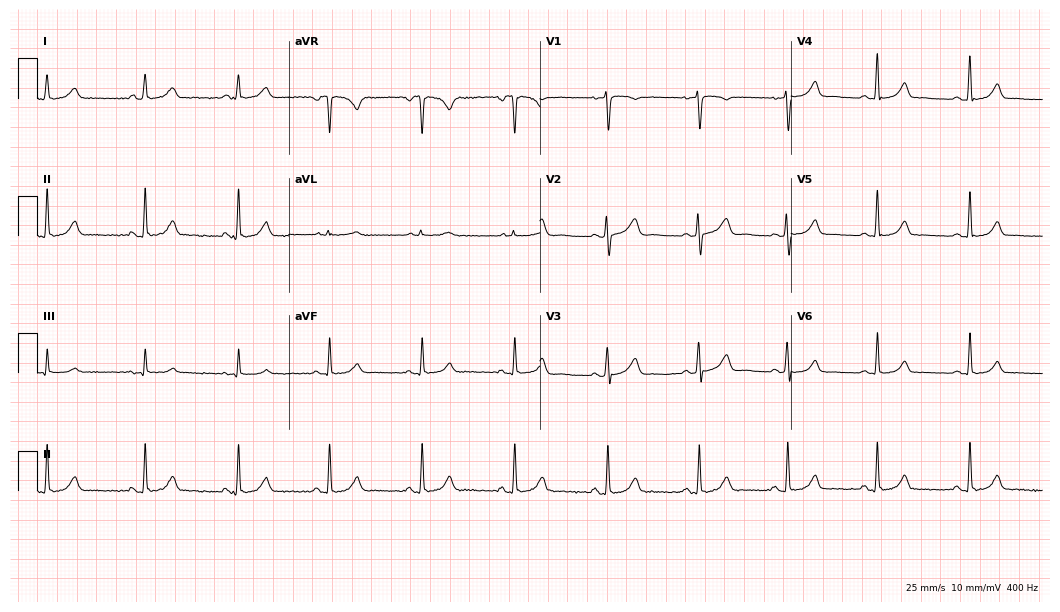
12-lead ECG (10.2-second recording at 400 Hz) from a female, 38 years old. Screened for six findings — first-degree AV block, right bundle branch block, left bundle branch block, sinus bradycardia, atrial fibrillation, sinus tachycardia — none is recorded. Findings outside these six are not listed.